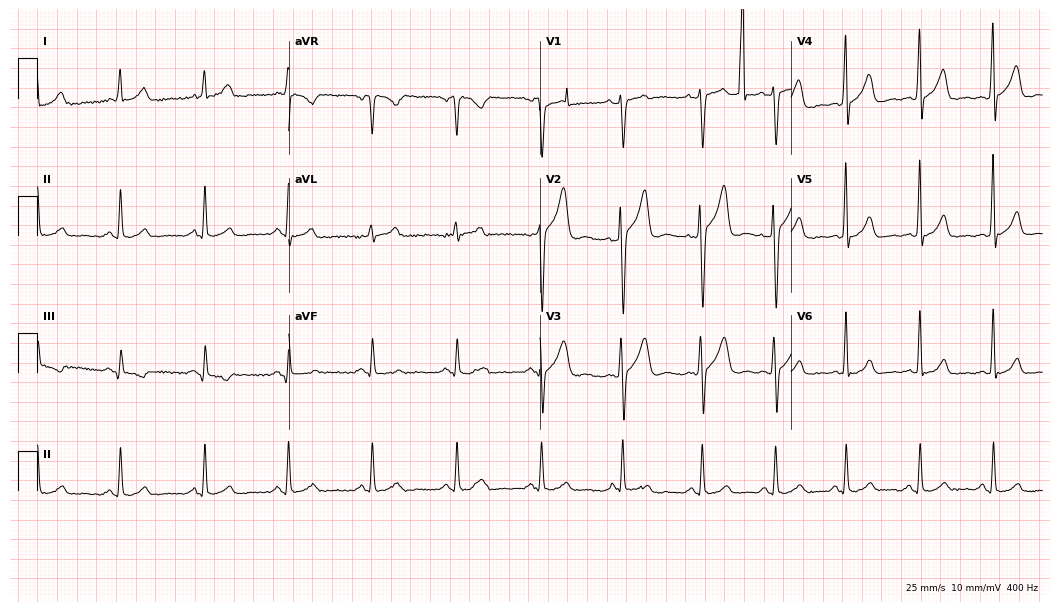
Resting 12-lead electrocardiogram. Patient: a 51-year-old male. Read as a normal ECG.